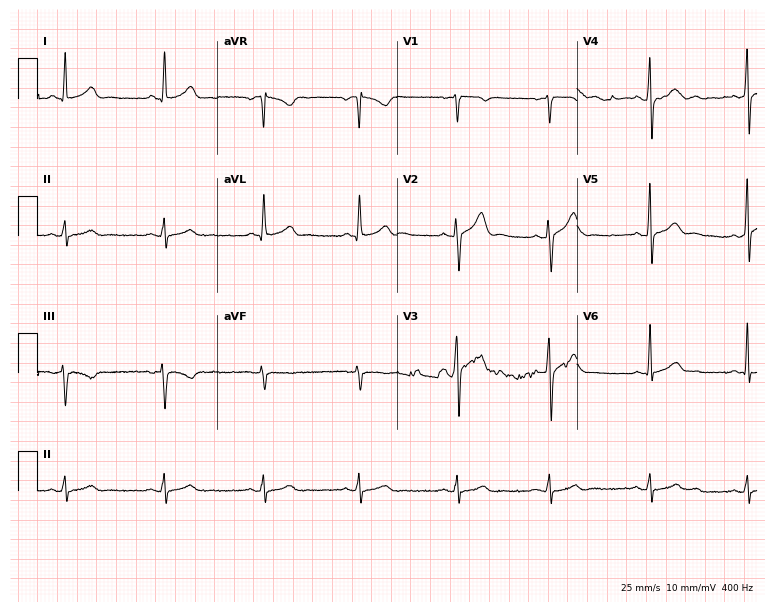
Resting 12-lead electrocardiogram. Patient: a 32-year-old male. Read as a normal ECG.